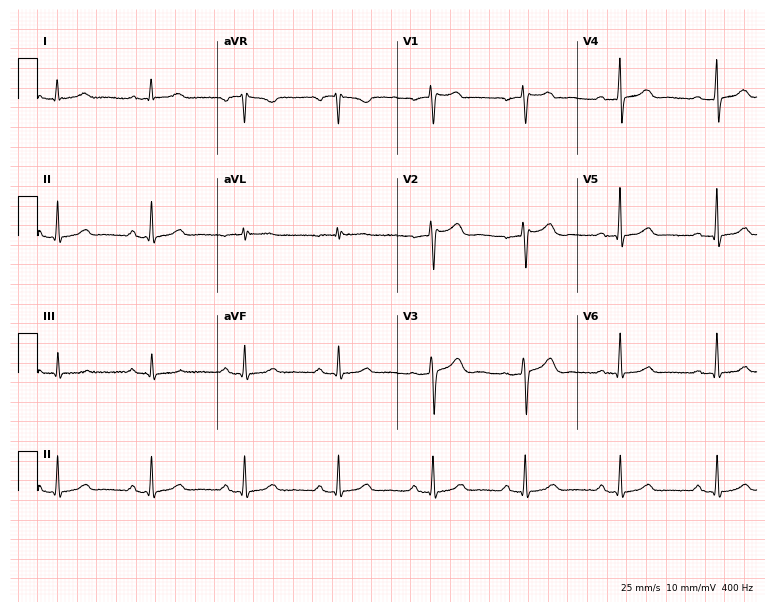
Resting 12-lead electrocardiogram (7.3-second recording at 400 Hz). Patient: a female, 55 years old. Read as a normal ECG.